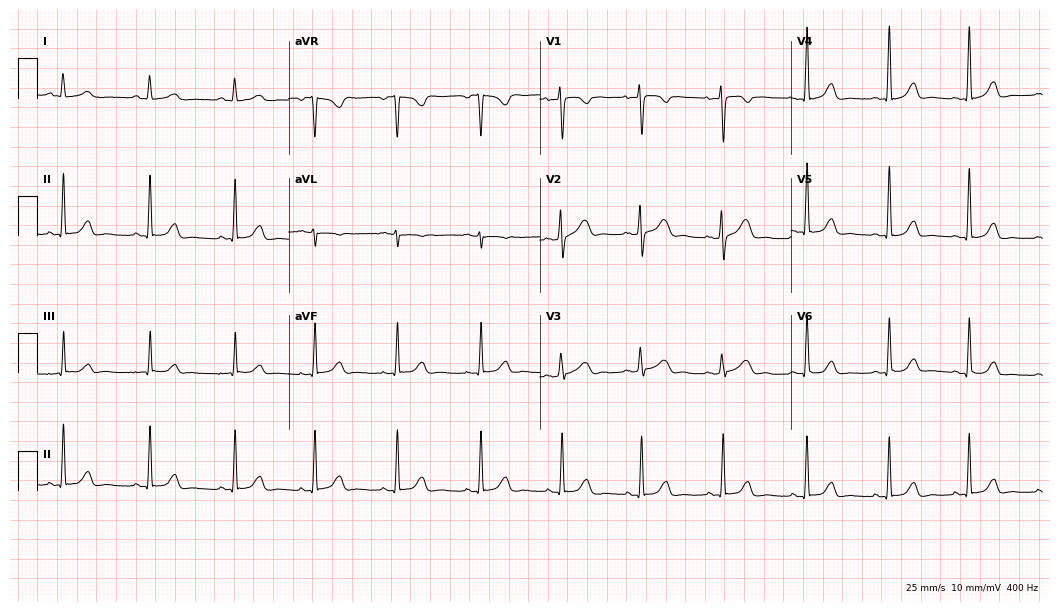
ECG (10.2-second recording at 400 Hz) — a female, 42 years old. Screened for six findings — first-degree AV block, right bundle branch block (RBBB), left bundle branch block (LBBB), sinus bradycardia, atrial fibrillation (AF), sinus tachycardia — none is recorded. Other findings, if any, are not listed.